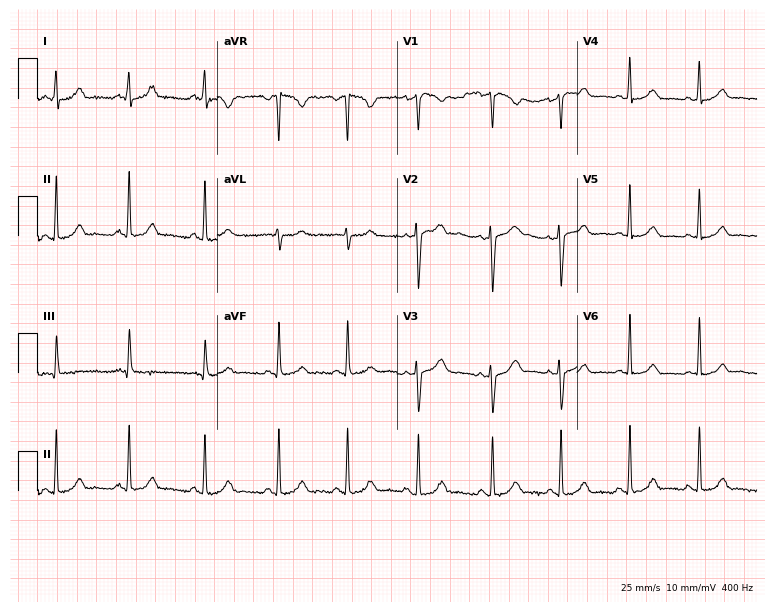
12-lead ECG (7.3-second recording at 400 Hz) from a woman, 24 years old. Screened for six findings — first-degree AV block, right bundle branch block, left bundle branch block, sinus bradycardia, atrial fibrillation, sinus tachycardia — none is recorded. Findings outside these six are not listed.